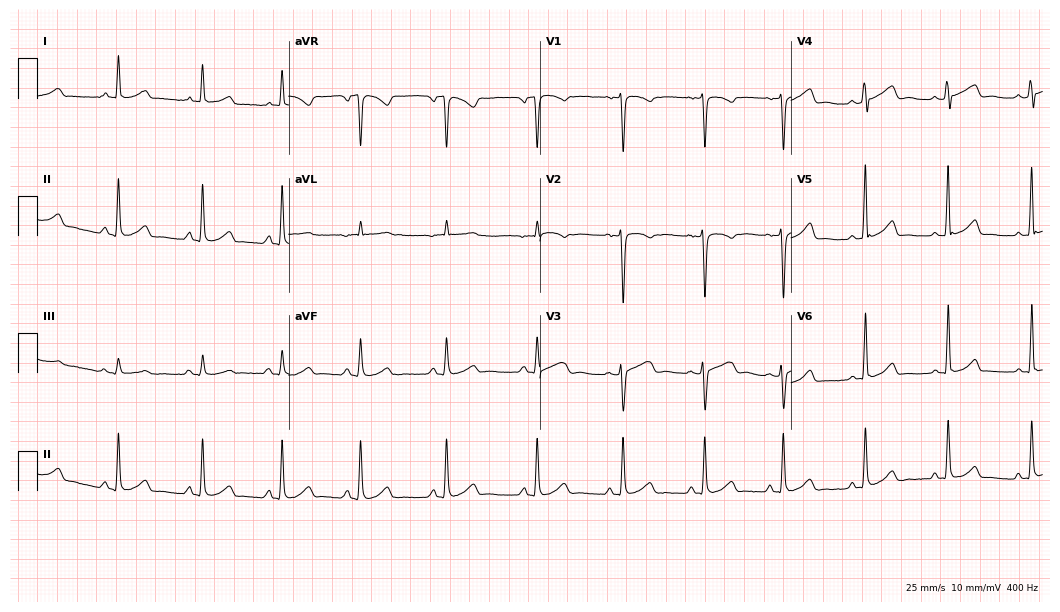
12-lead ECG from a female, 29 years old. Screened for six findings — first-degree AV block, right bundle branch block, left bundle branch block, sinus bradycardia, atrial fibrillation, sinus tachycardia — none is recorded. Findings outside these six are not listed.